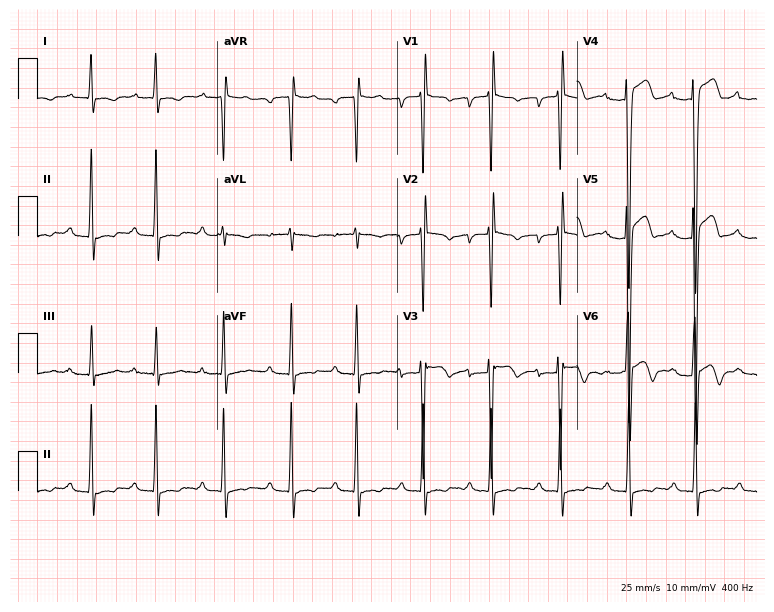
12-lead ECG (7.3-second recording at 400 Hz) from a 21-year-old male. Findings include first-degree AV block.